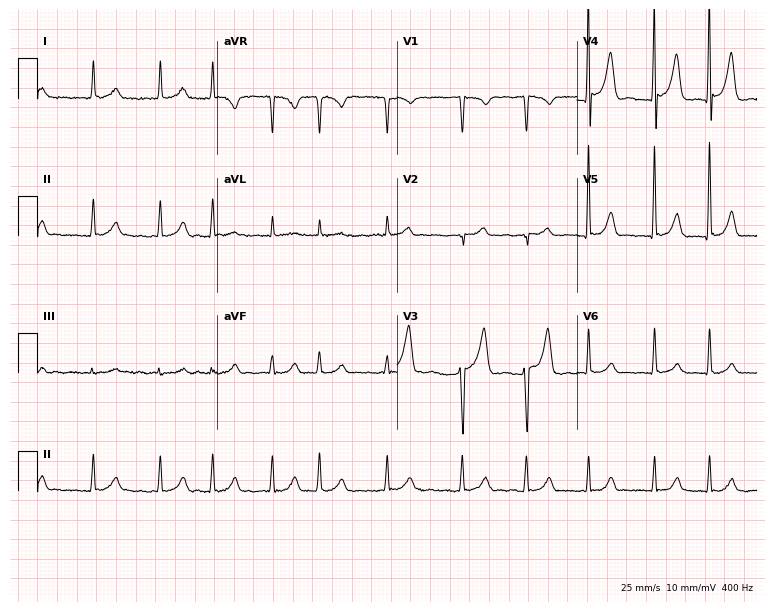
Standard 12-lead ECG recorded from a 76-year-old male patient. The tracing shows atrial fibrillation (AF).